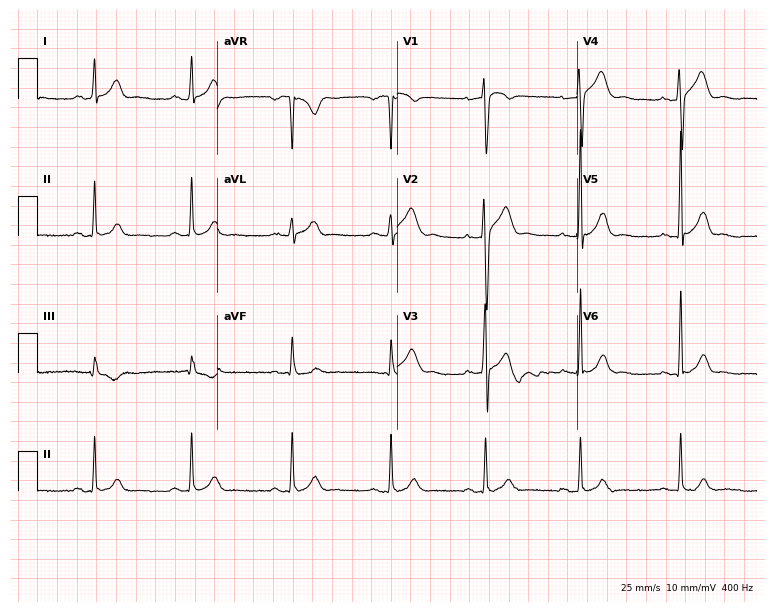
Standard 12-lead ECG recorded from a male patient, 32 years old. Read as a normal ECG.